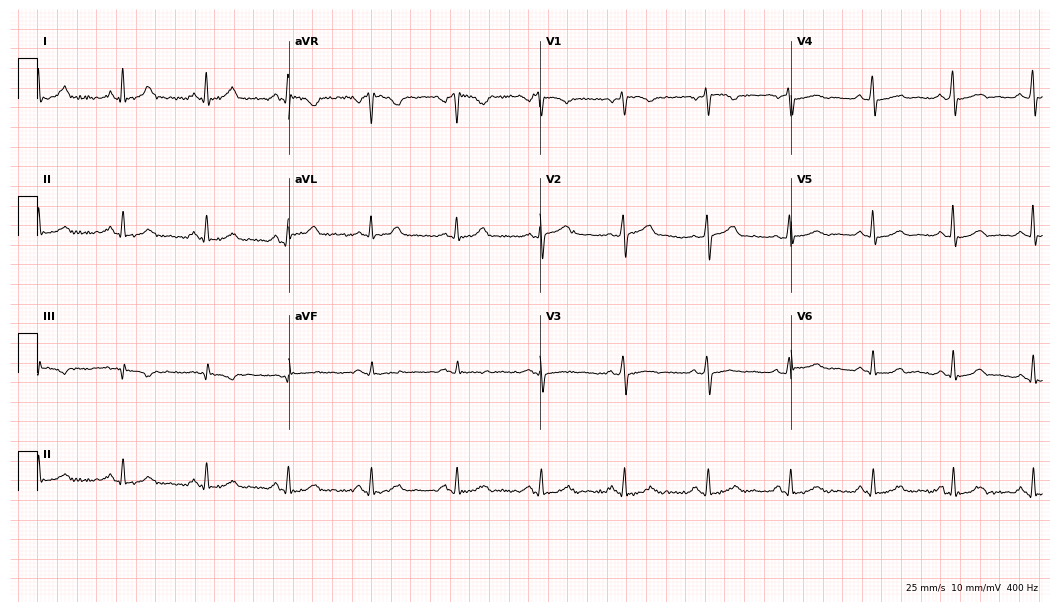
12-lead ECG from a man, 56 years old. Recorded interpretation: within normal limits.